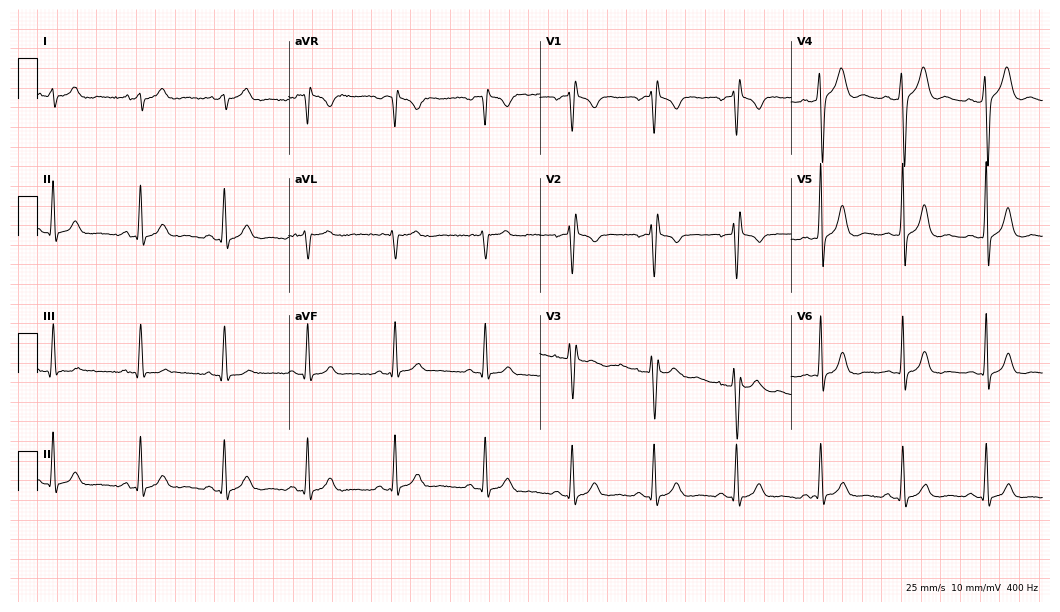
Electrocardiogram (10.2-second recording at 400 Hz), a 23-year-old male. Of the six screened findings (first-degree AV block, right bundle branch block, left bundle branch block, sinus bradycardia, atrial fibrillation, sinus tachycardia), none is recorded.